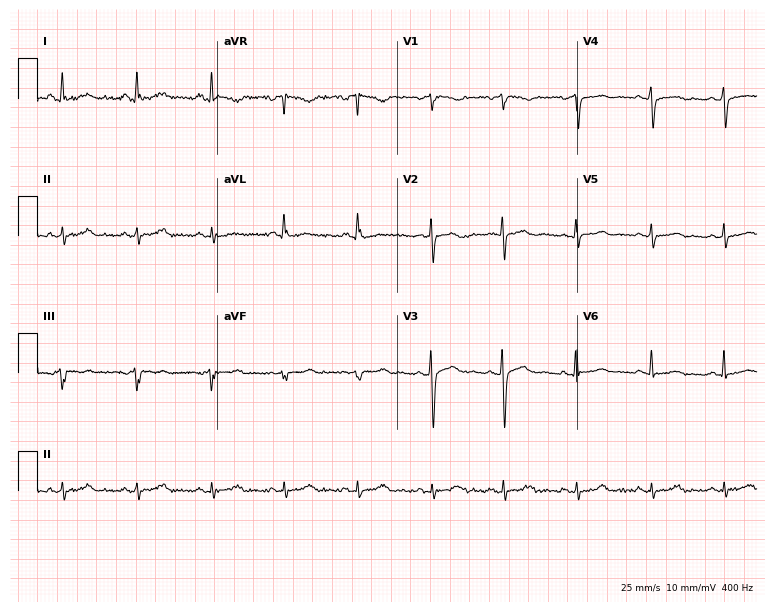
ECG (7.3-second recording at 400 Hz) — a female patient, 52 years old. Labelled as a normal ECG.